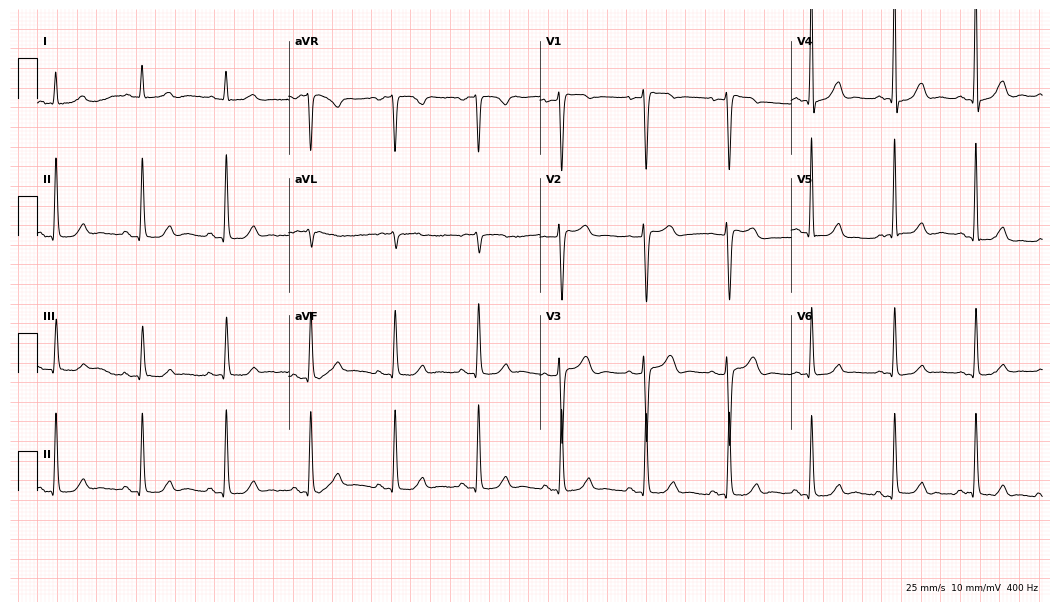
ECG — an 84-year-old female patient. Labelled as a normal ECG.